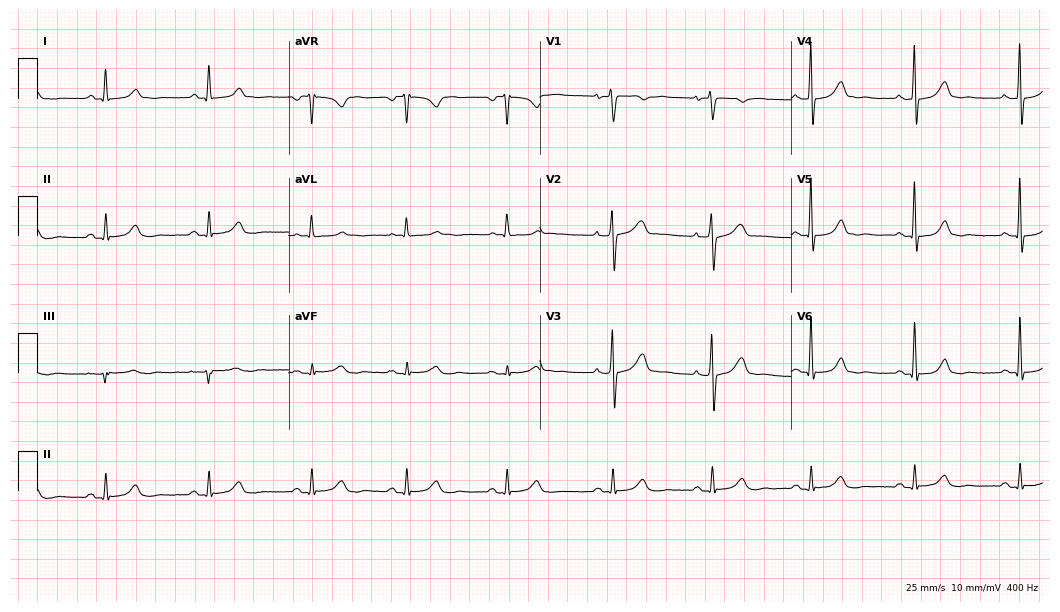
Electrocardiogram (10.2-second recording at 400 Hz), a woman, 58 years old. Overall reading on record: normal ECG.